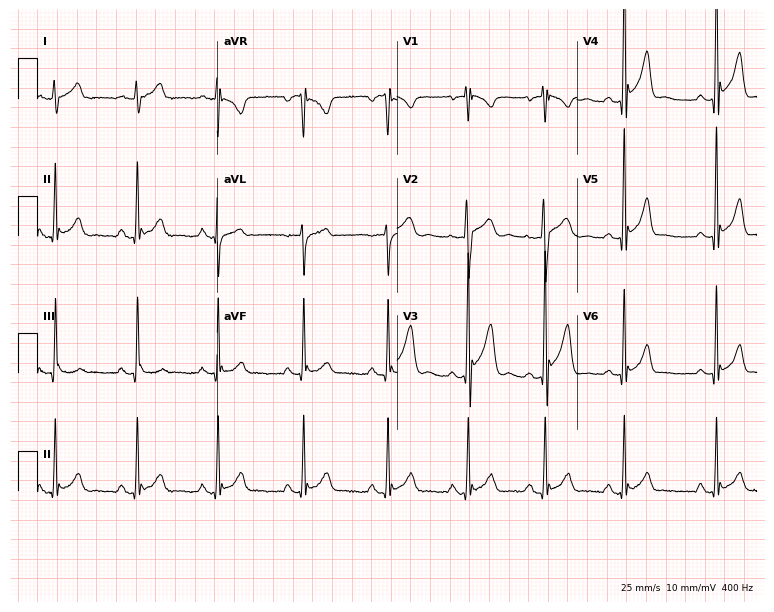
Standard 12-lead ECG recorded from a male, 21 years old (7.3-second recording at 400 Hz). None of these six findings is recorded: first-degree AV block, right bundle branch block, left bundle branch block, sinus bradycardia, atrial fibrillation, sinus tachycardia.